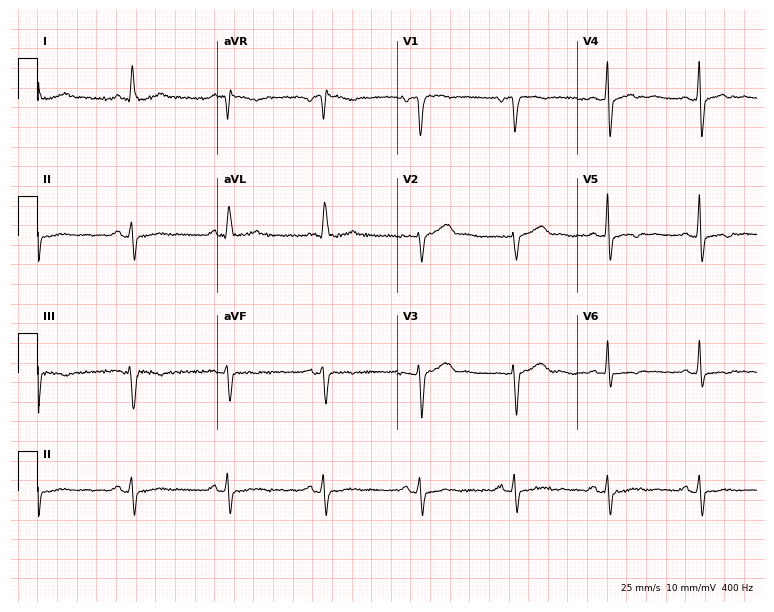
12-lead ECG (7.3-second recording at 400 Hz) from a man, 65 years old. Screened for six findings — first-degree AV block, right bundle branch block, left bundle branch block, sinus bradycardia, atrial fibrillation, sinus tachycardia — none is recorded.